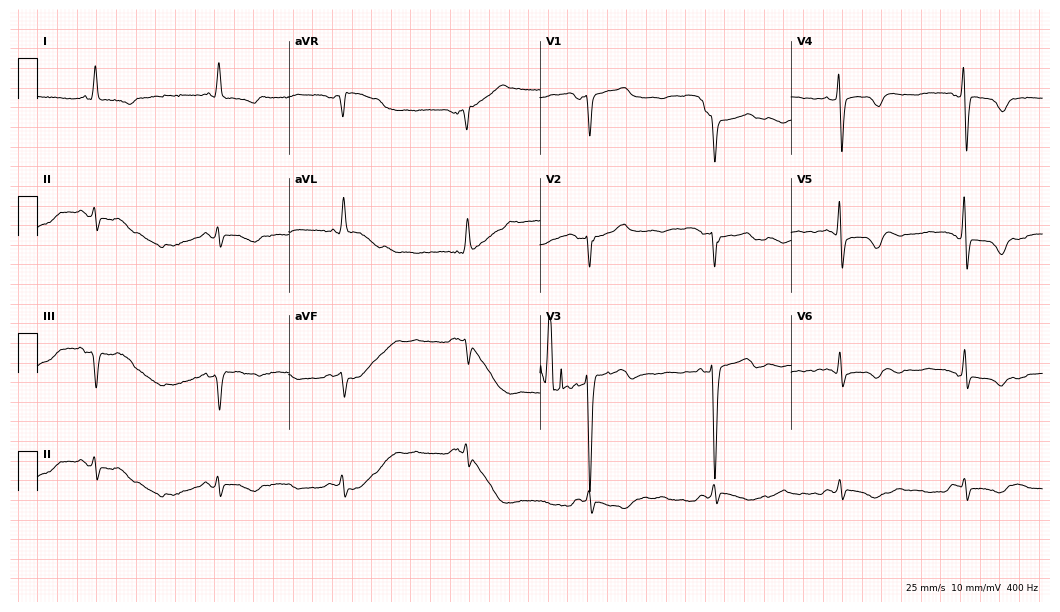
Electrocardiogram (10.2-second recording at 400 Hz), a man, 72 years old. Of the six screened findings (first-degree AV block, right bundle branch block (RBBB), left bundle branch block (LBBB), sinus bradycardia, atrial fibrillation (AF), sinus tachycardia), none is recorded.